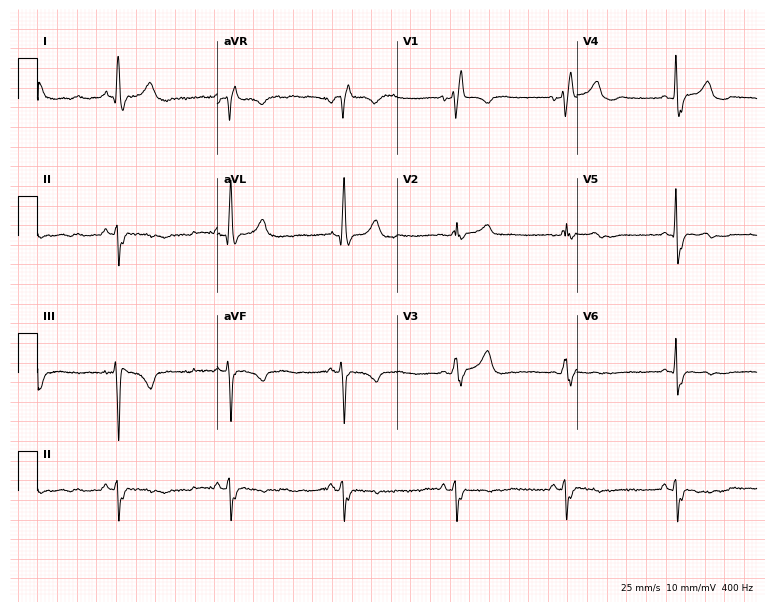
12-lead ECG from a male, 58 years old. Screened for six findings — first-degree AV block, right bundle branch block, left bundle branch block, sinus bradycardia, atrial fibrillation, sinus tachycardia — none is recorded.